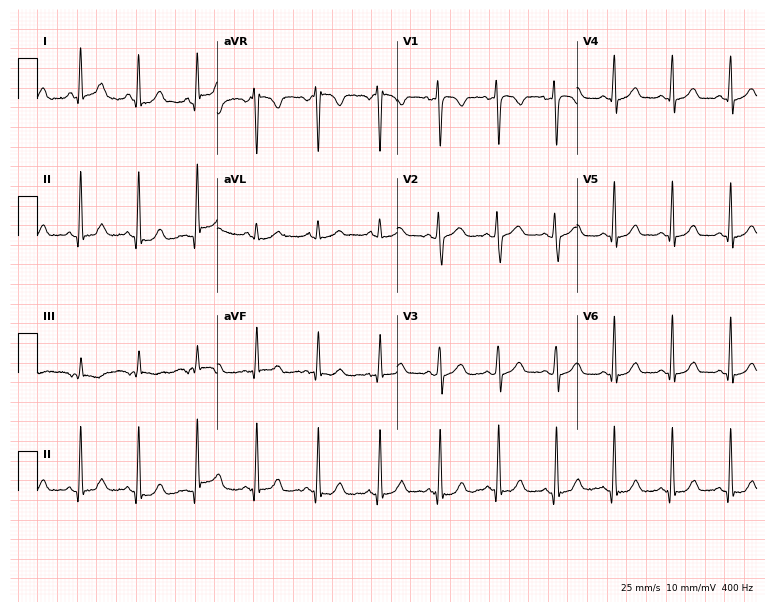
Standard 12-lead ECG recorded from a female patient, 41 years old. None of these six findings is recorded: first-degree AV block, right bundle branch block (RBBB), left bundle branch block (LBBB), sinus bradycardia, atrial fibrillation (AF), sinus tachycardia.